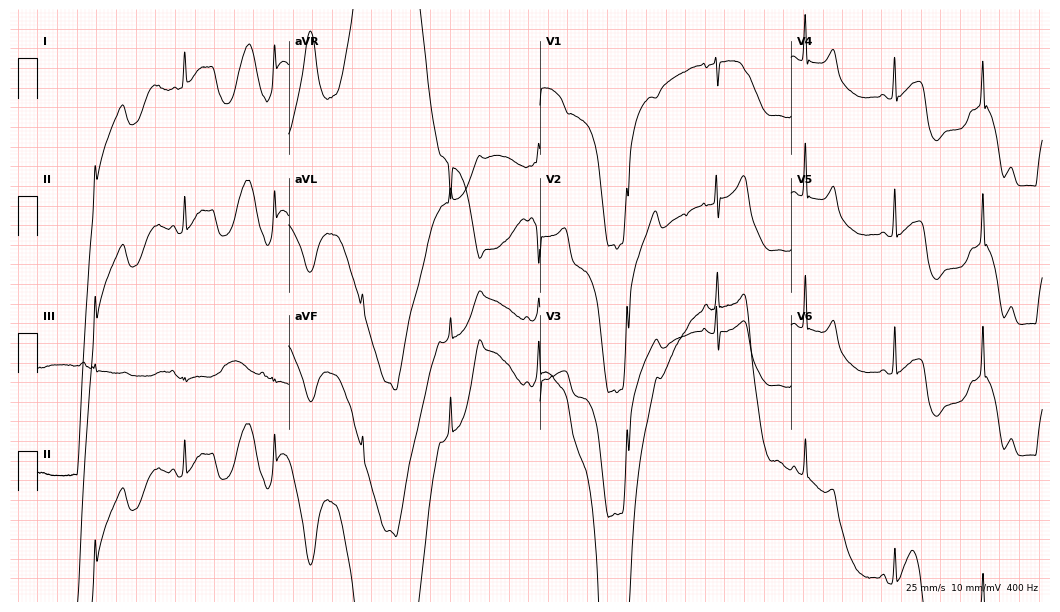
Standard 12-lead ECG recorded from a woman, 68 years old. None of these six findings is recorded: first-degree AV block, right bundle branch block, left bundle branch block, sinus bradycardia, atrial fibrillation, sinus tachycardia.